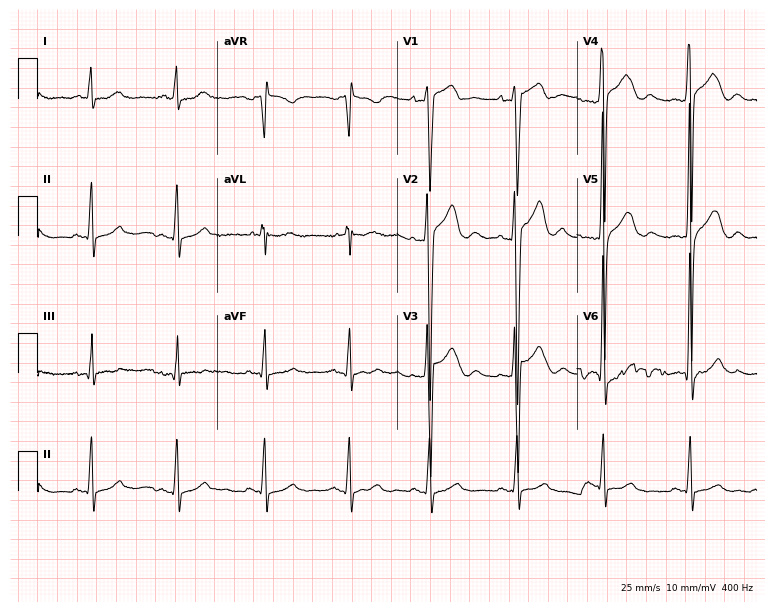
Resting 12-lead electrocardiogram (7.3-second recording at 400 Hz). Patient: an 18-year-old man. None of these six findings is recorded: first-degree AV block, right bundle branch block, left bundle branch block, sinus bradycardia, atrial fibrillation, sinus tachycardia.